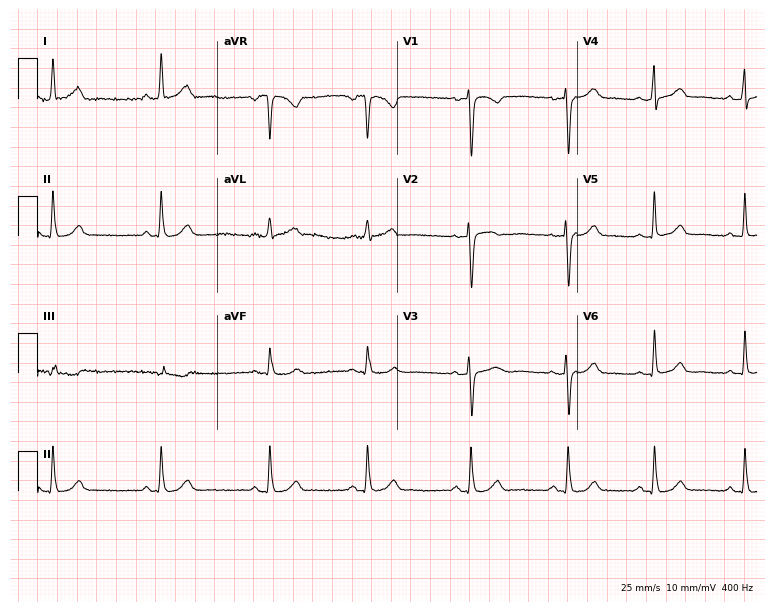
12-lead ECG from a 30-year-old woman. No first-degree AV block, right bundle branch block (RBBB), left bundle branch block (LBBB), sinus bradycardia, atrial fibrillation (AF) or sinus tachycardia recorded for this tracing. Only these six findings were labelled.